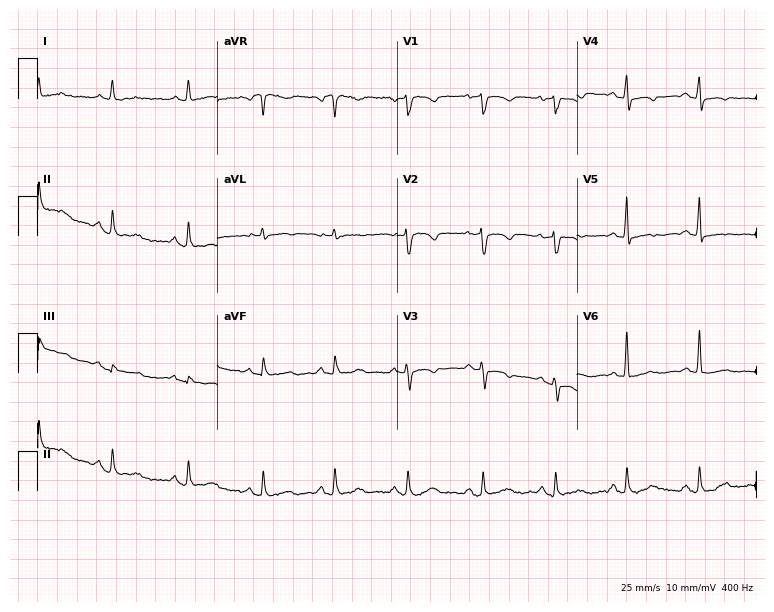
12-lead ECG from a 73-year-old female patient (7.3-second recording at 400 Hz). No first-degree AV block, right bundle branch block (RBBB), left bundle branch block (LBBB), sinus bradycardia, atrial fibrillation (AF) or sinus tachycardia recorded for this tracing. Other findings, if any, are not listed.